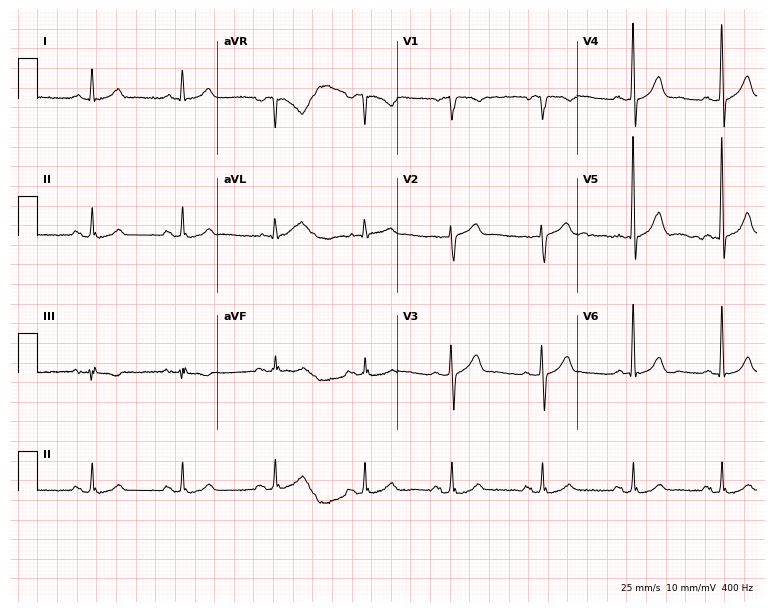
Resting 12-lead electrocardiogram (7.3-second recording at 400 Hz). Patient: a man, 61 years old. Read as a normal ECG.